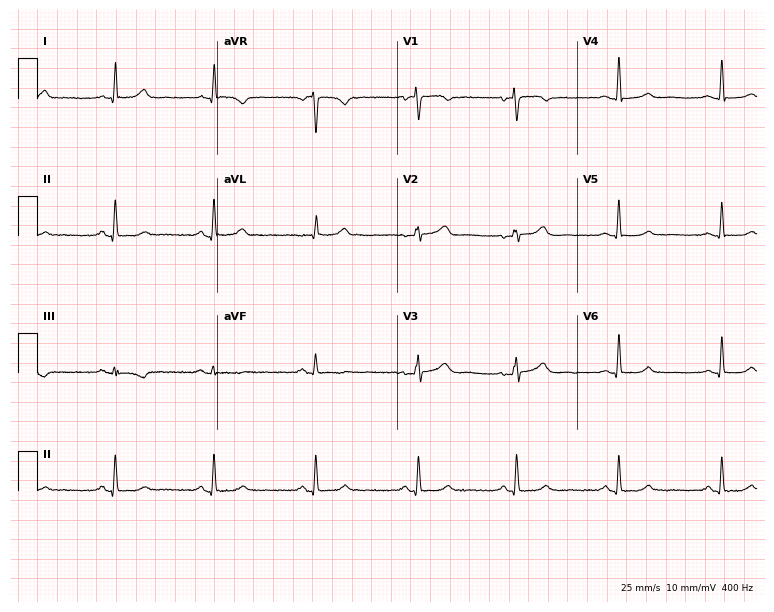
Resting 12-lead electrocardiogram. Patient: a 63-year-old woman. Read as a normal ECG.